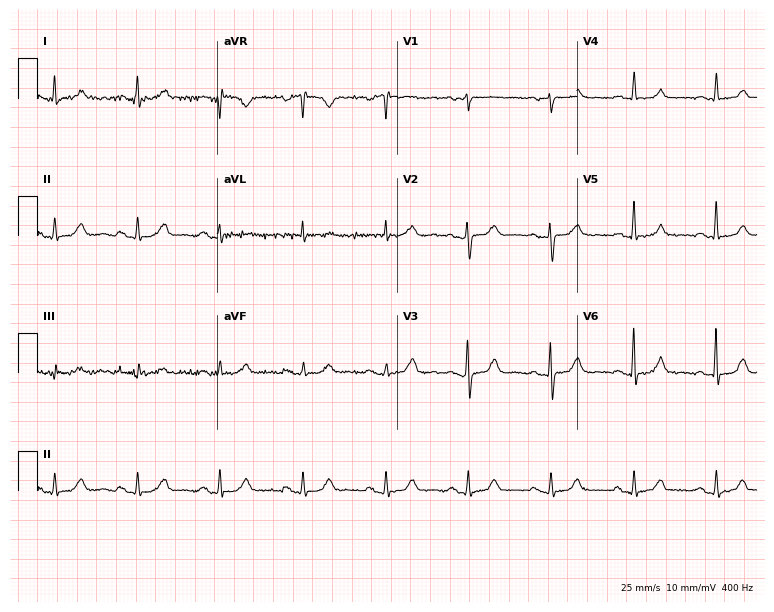
ECG — a 78-year-old female. Screened for six findings — first-degree AV block, right bundle branch block, left bundle branch block, sinus bradycardia, atrial fibrillation, sinus tachycardia — none is recorded.